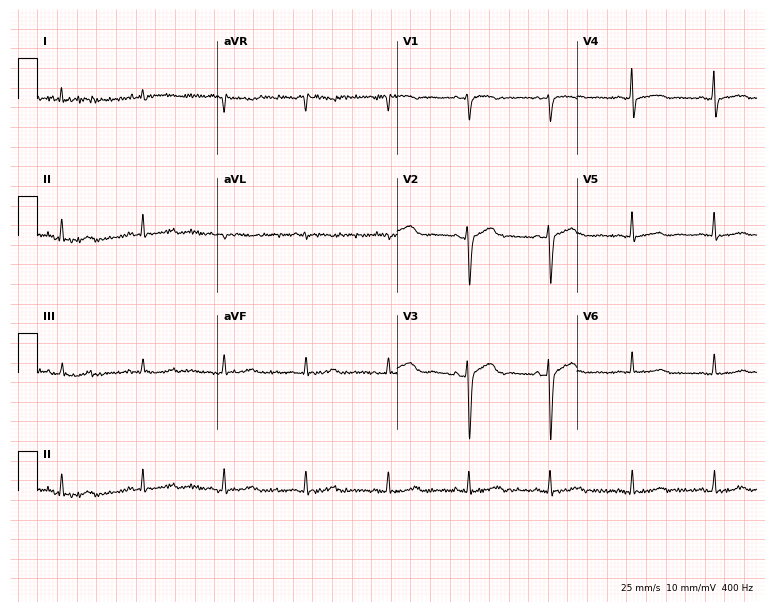
Electrocardiogram (7.3-second recording at 400 Hz), a 66-year-old woman. Overall reading on record: normal ECG.